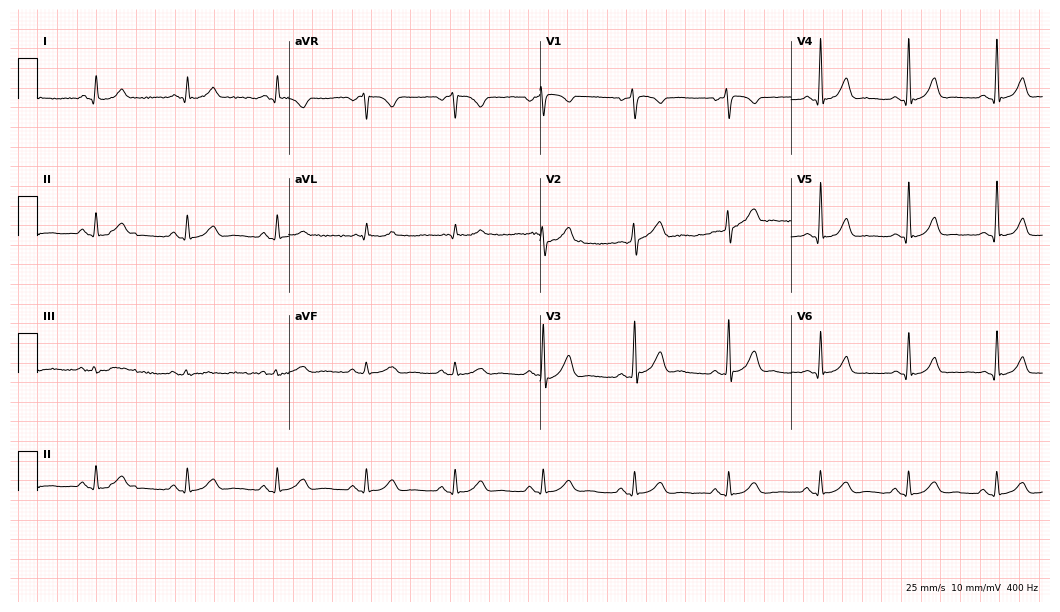
12-lead ECG (10.2-second recording at 400 Hz) from a male patient, 40 years old. Screened for six findings — first-degree AV block, right bundle branch block, left bundle branch block, sinus bradycardia, atrial fibrillation, sinus tachycardia — none is recorded. Only these six findings were labelled.